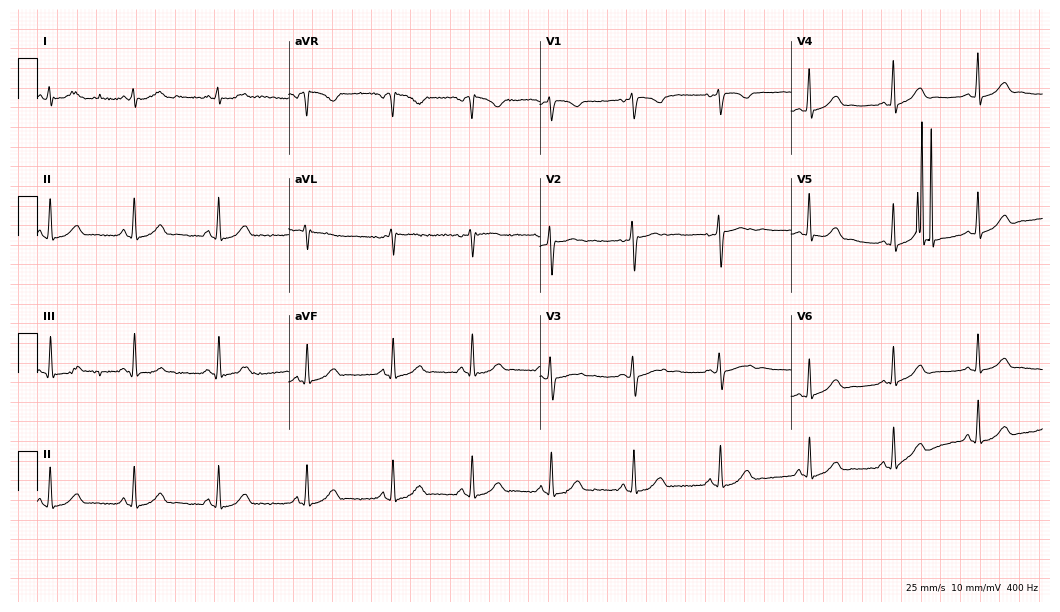
Standard 12-lead ECG recorded from a 24-year-old woman (10.2-second recording at 400 Hz). Read as a normal ECG.